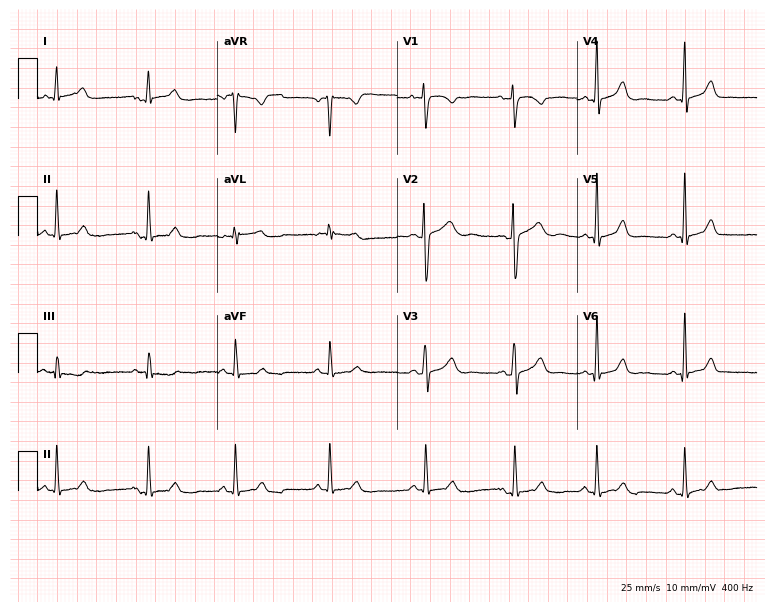
Standard 12-lead ECG recorded from a 28-year-old female patient (7.3-second recording at 400 Hz). Read as a normal ECG.